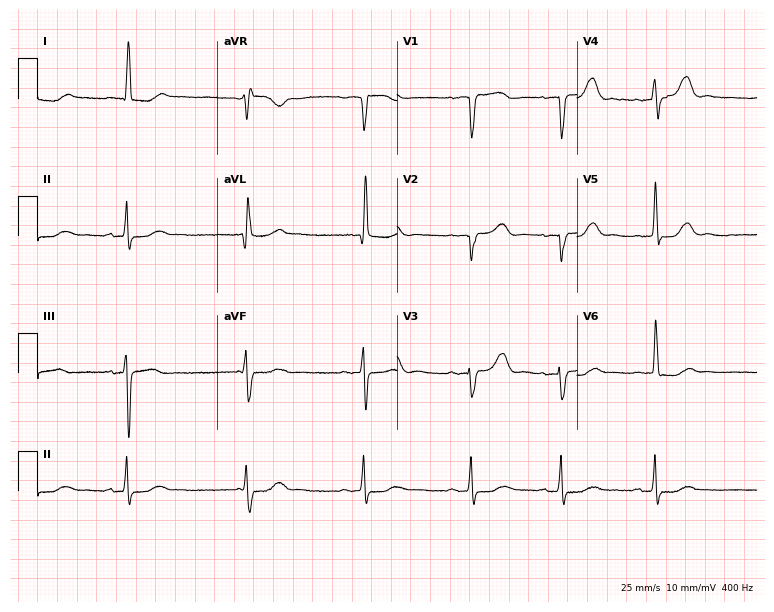
Resting 12-lead electrocardiogram (7.3-second recording at 400 Hz). Patient: an 84-year-old female. None of these six findings is recorded: first-degree AV block, right bundle branch block, left bundle branch block, sinus bradycardia, atrial fibrillation, sinus tachycardia.